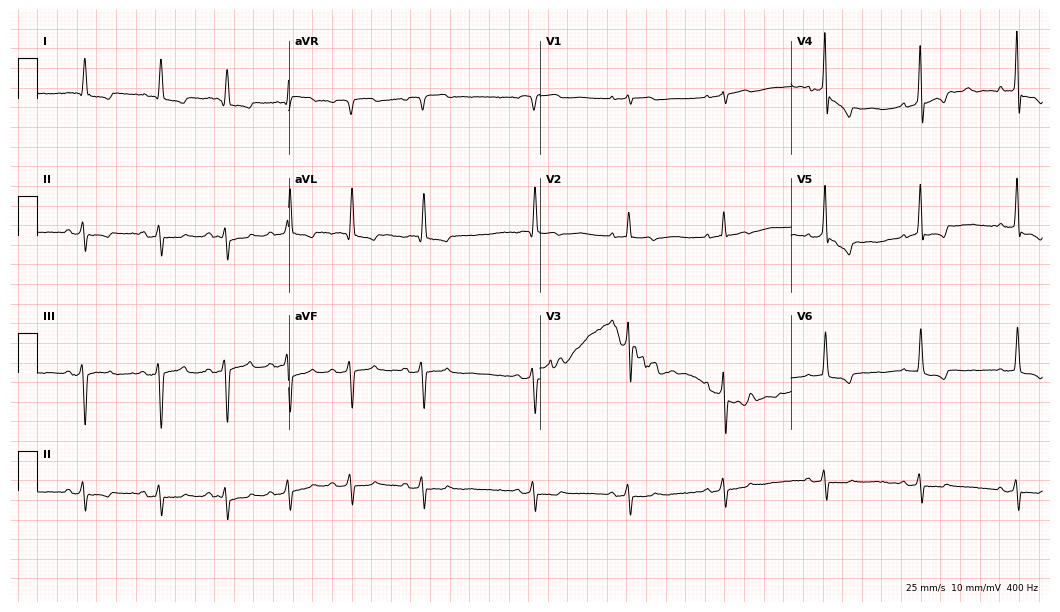
12-lead ECG from a 77-year-old male patient. No first-degree AV block, right bundle branch block, left bundle branch block, sinus bradycardia, atrial fibrillation or sinus tachycardia recorded for this tracing.